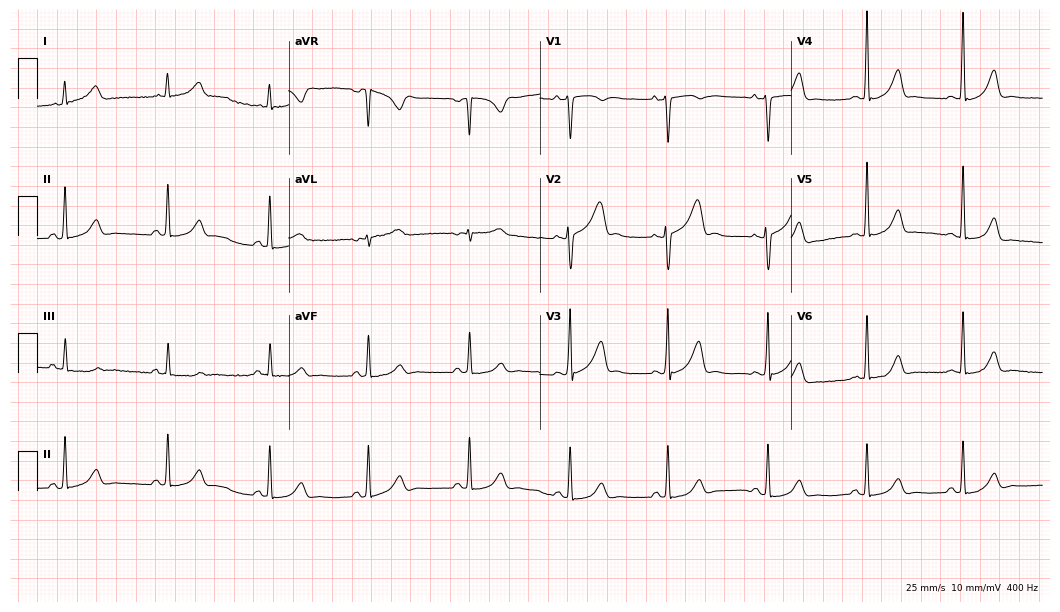
Resting 12-lead electrocardiogram. Patient: a 36-year-old woman. Read as a normal ECG.